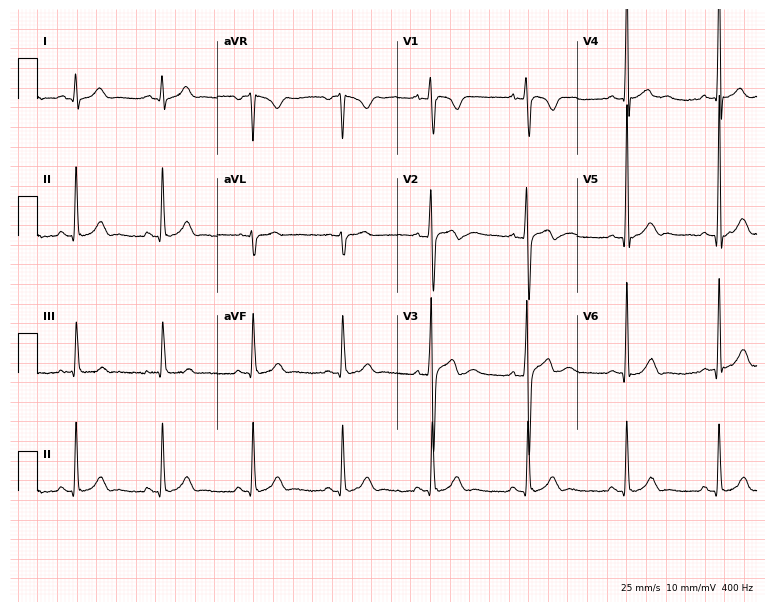
12-lead ECG from a 17-year-old man. Labelled as a normal ECG.